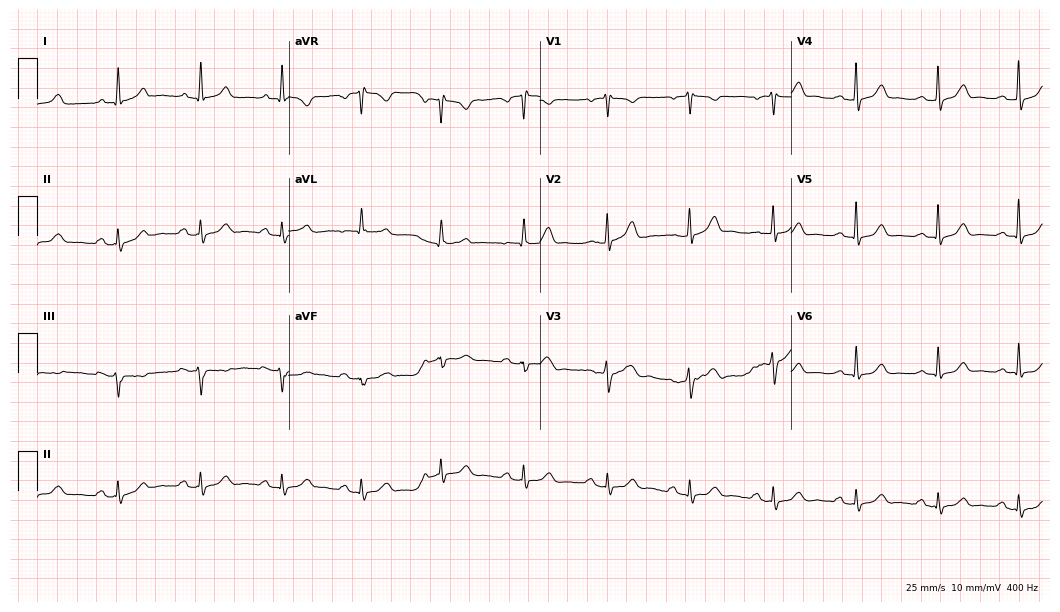
ECG — a 51-year-old female patient. Labelled as a normal ECG.